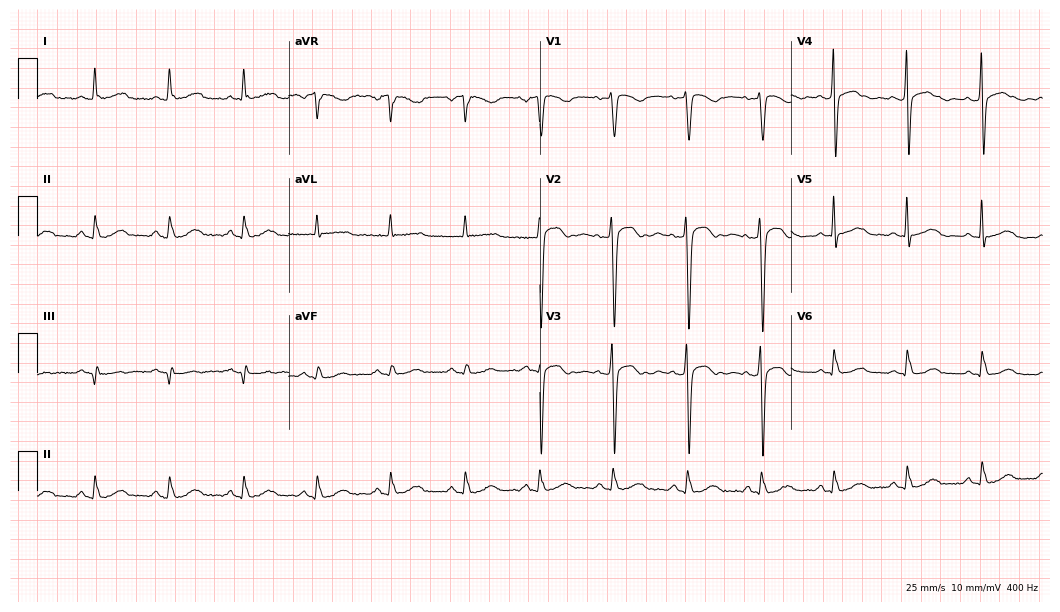
Standard 12-lead ECG recorded from a female patient, 56 years old. None of these six findings is recorded: first-degree AV block, right bundle branch block, left bundle branch block, sinus bradycardia, atrial fibrillation, sinus tachycardia.